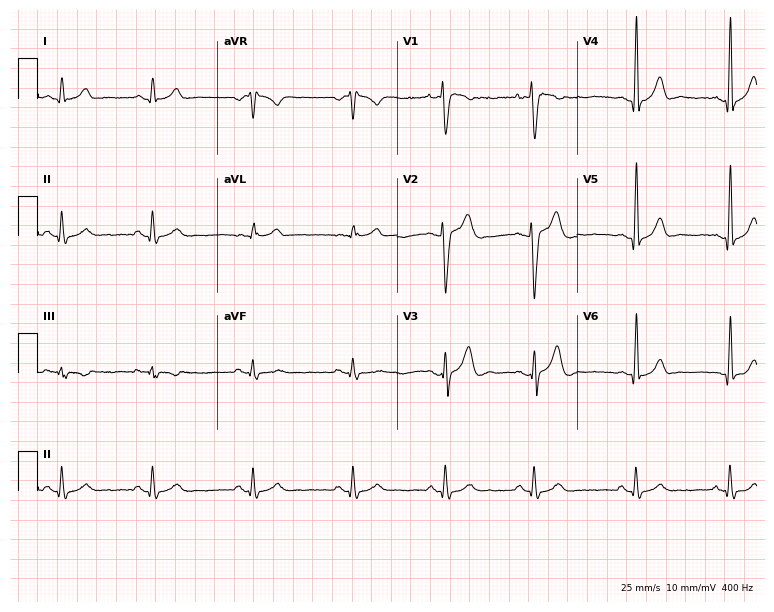
Standard 12-lead ECG recorded from a male, 23 years old. Read as a normal ECG.